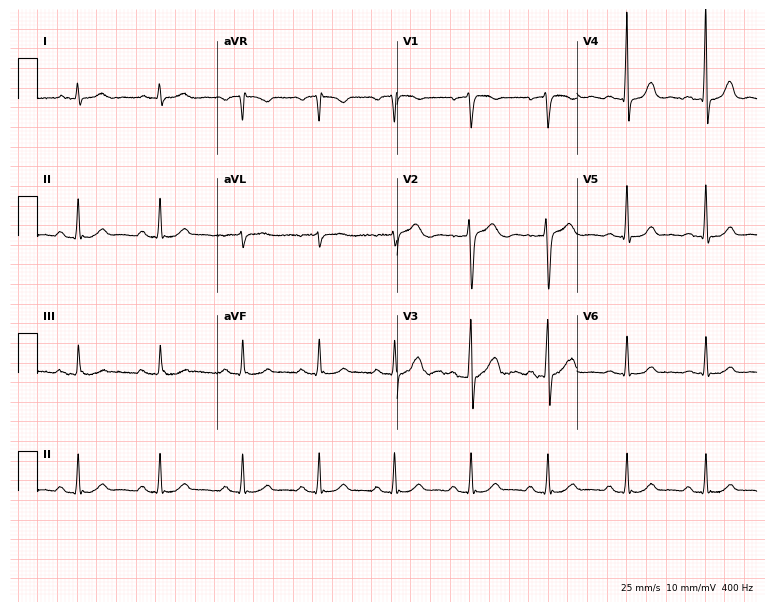
Electrocardiogram, a 46-year-old male patient. Overall reading on record: normal ECG.